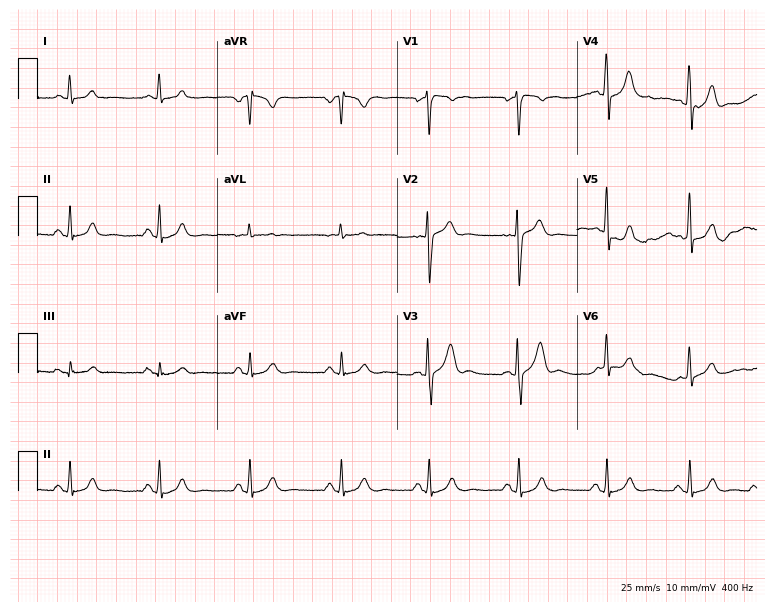
12-lead ECG from a 40-year-old male (7.3-second recording at 400 Hz). Recorded interpretation: within normal limits.